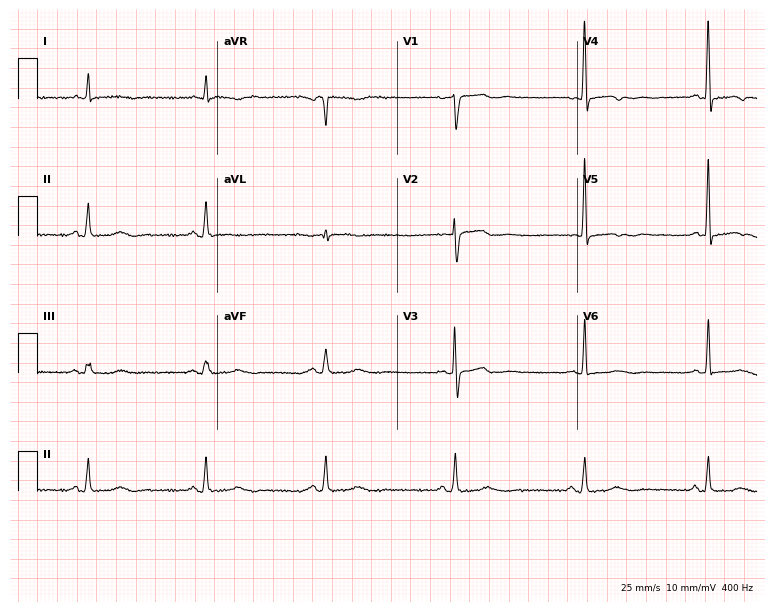
ECG — a 58-year-old female. Screened for six findings — first-degree AV block, right bundle branch block (RBBB), left bundle branch block (LBBB), sinus bradycardia, atrial fibrillation (AF), sinus tachycardia — none is recorded. Other findings, if any, are not listed.